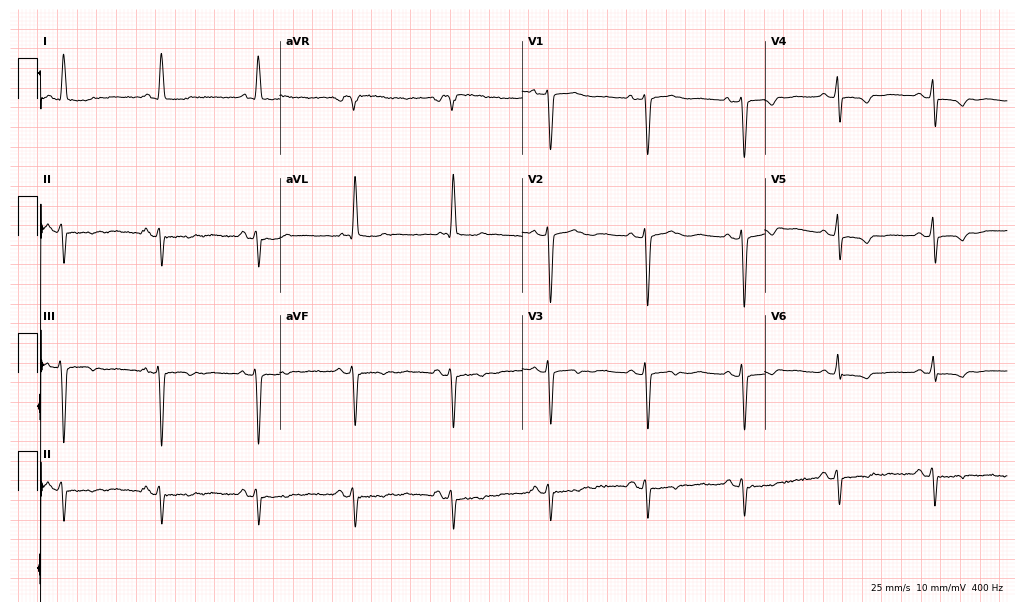
12-lead ECG from an 83-year-old woman (9.9-second recording at 400 Hz). No first-degree AV block, right bundle branch block, left bundle branch block, sinus bradycardia, atrial fibrillation or sinus tachycardia recorded for this tracing. Findings outside these six are not listed.